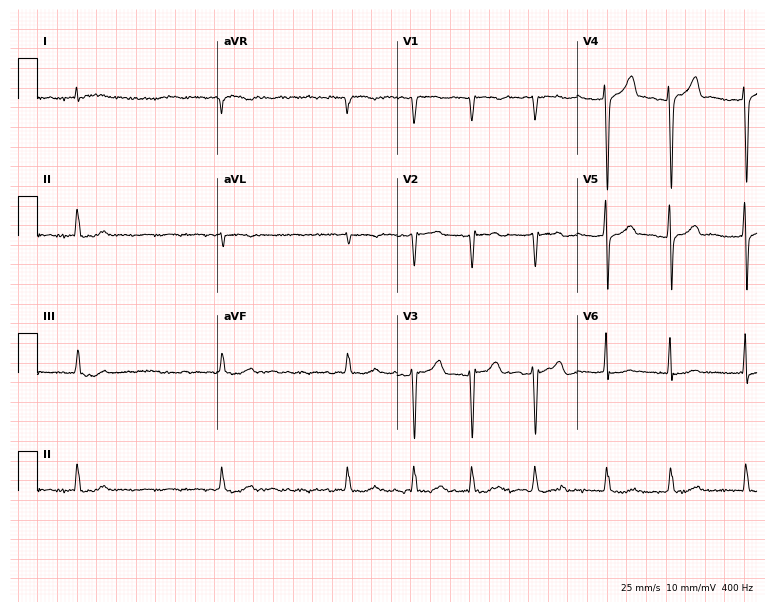
Electrocardiogram (7.3-second recording at 400 Hz), an 85-year-old male. Interpretation includes atrial fibrillation.